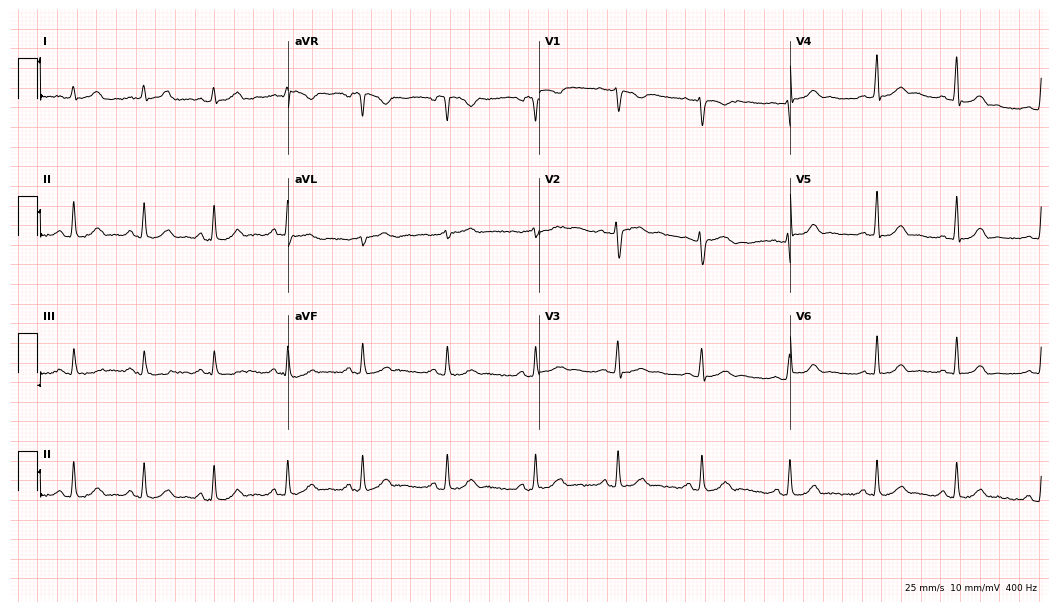
ECG — a female patient, 27 years old. Labelled as a normal ECG.